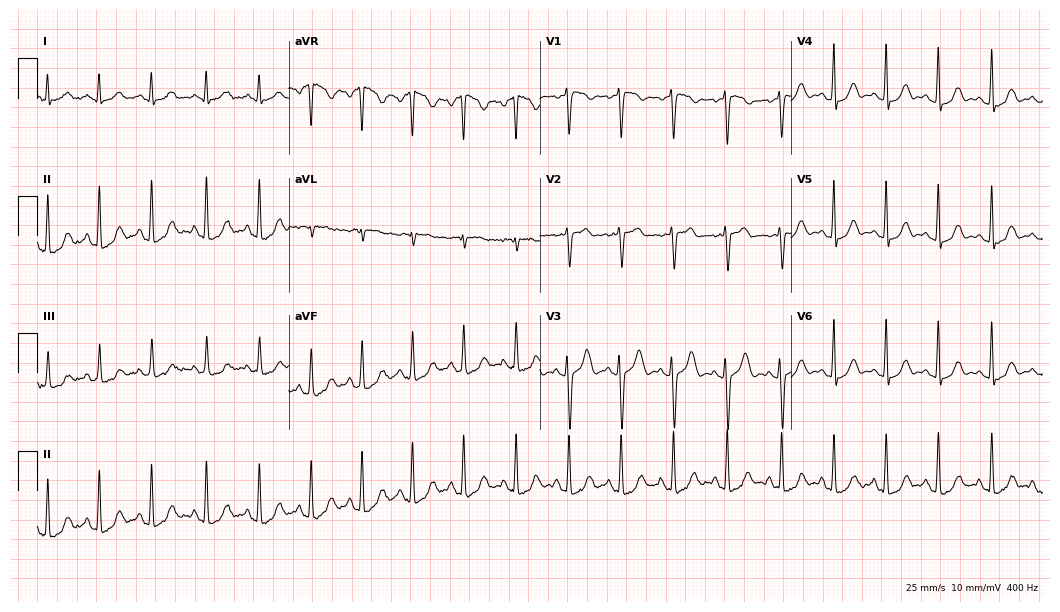
Resting 12-lead electrocardiogram. Patient: a woman, 41 years old. The tracing shows sinus tachycardia (a sinus rate of 100 beats per minute or more).